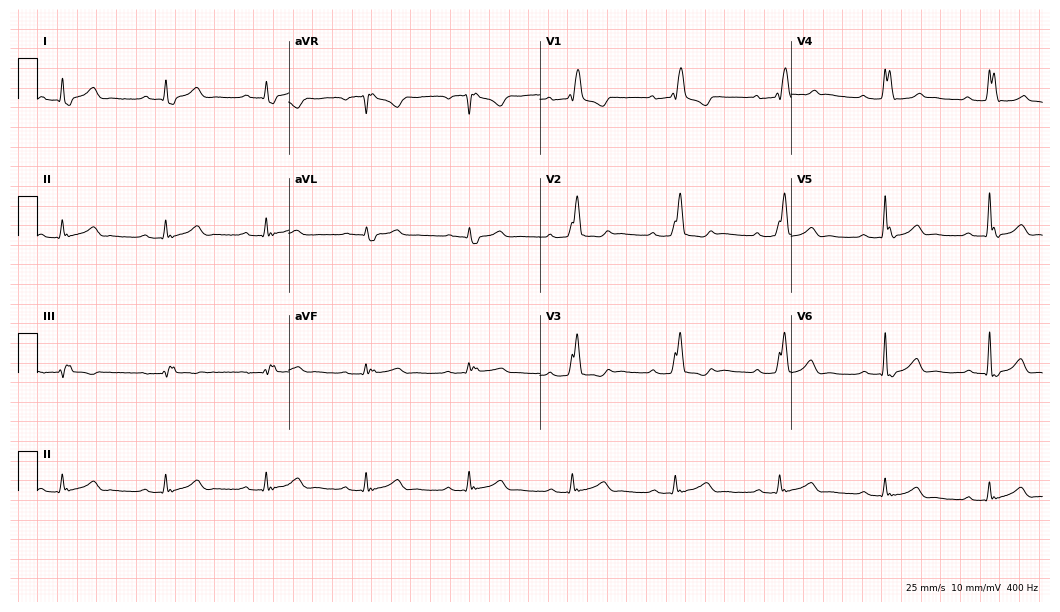
Resting 12-lead electrocardiogram. Patient: a 70-year-old man. None of these six findings is recorded: first-degree AV block, right bundle branch block, left bundle branch block, sinus bradycardia, atrial fibrillation, sinus tachycardia.